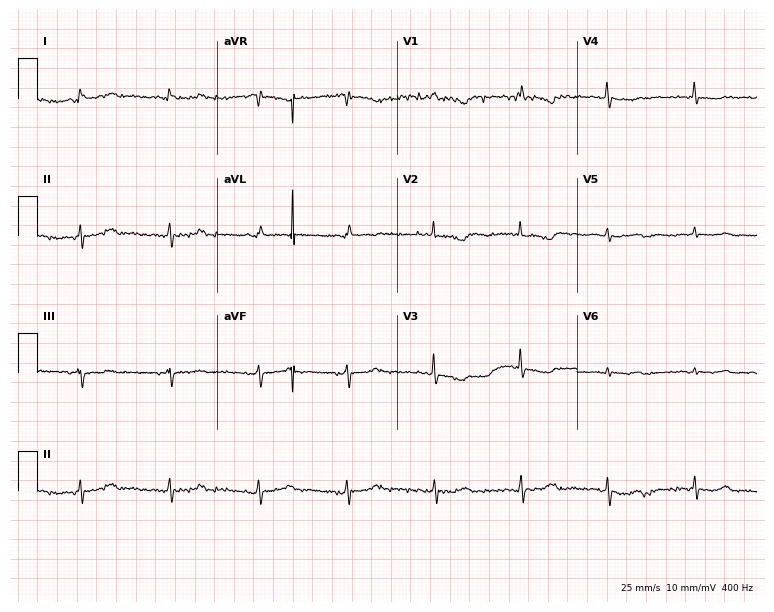
Resting 12-lead electrocardiogram (7.3-second recording at 400 Hz). Patient: a female, 77 years old. Read as a normal ECG.